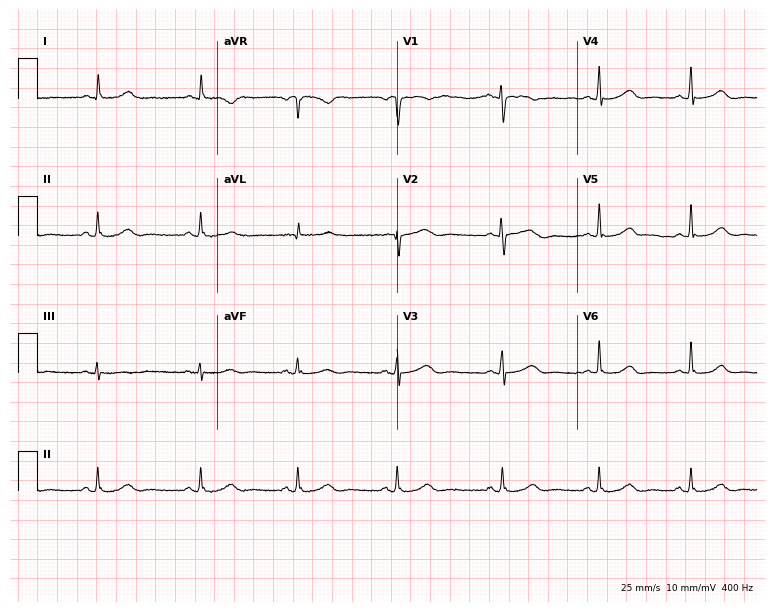
ECG (7.3-second recording at 400 Hz) — a 56-year-old female. Labelled as a normal ECG.